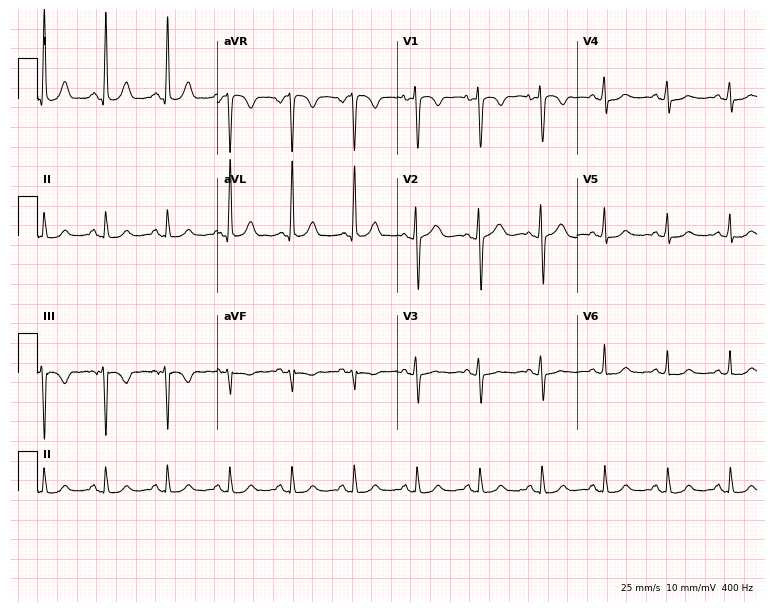
Standard 12-lead ECG recorded from a 31-year-old female (7.3-second recording at 400 Hz). Read as a normal ECG.